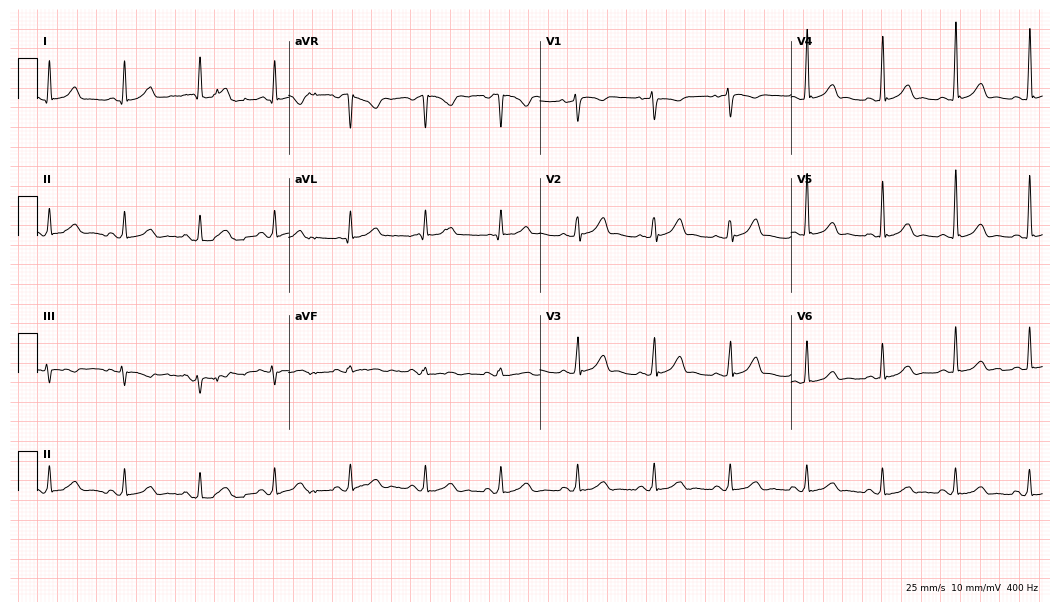
12-lead ECG (10.2-second recording at 400 Hz) from a woman, 48 years old. Screened for six findings — first-degree AV block, right bundle branch block, left bundle branch block, sinus bradycardia, atrial fibrillation, sinus tachycardia — none is recorded. Only these six findings were labelled.